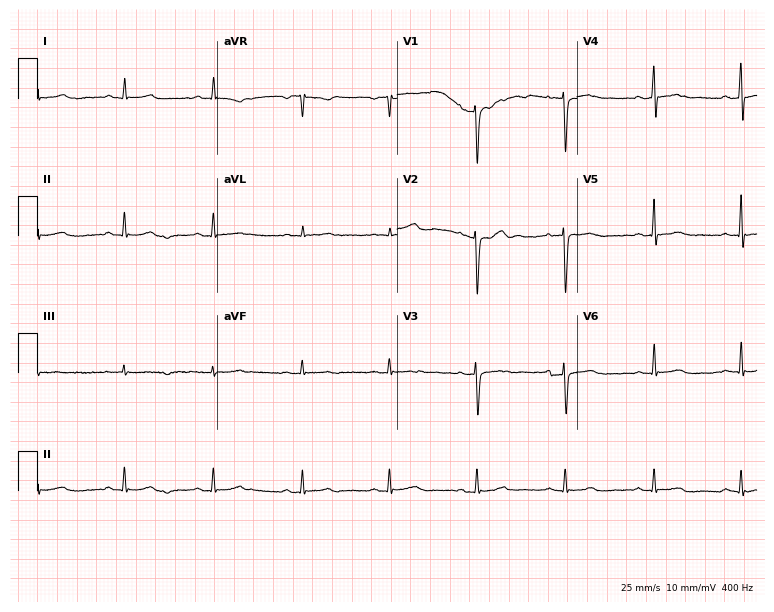
12-lead ECG from a man, 51 years old. Labelled as a normal ECG.